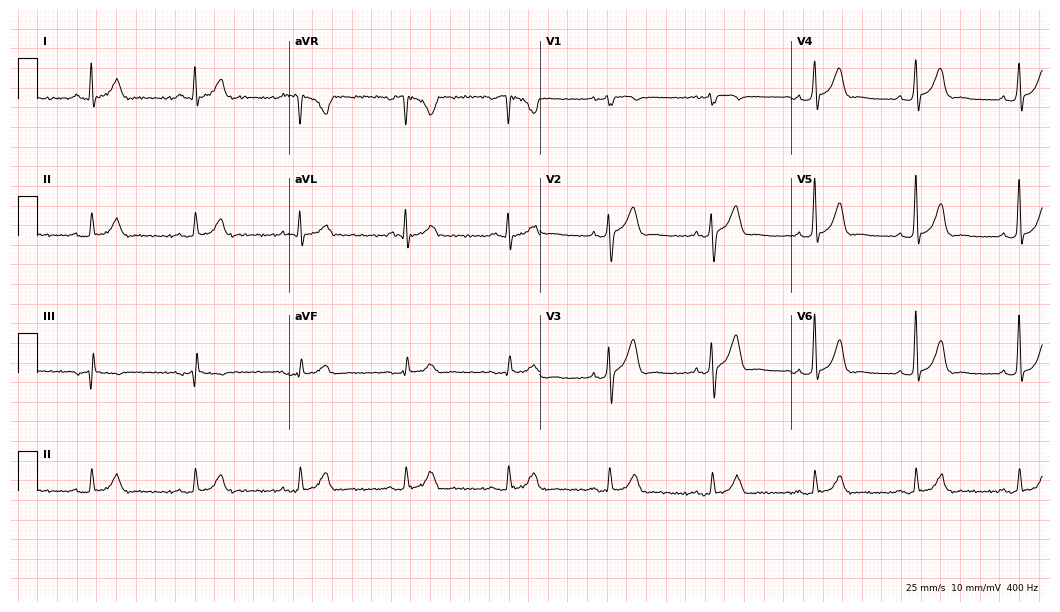
12-lead ECG from a male patient, 58 years old (10.2-second recording at 400 Hz). Recorded interpretation: within normal limits.